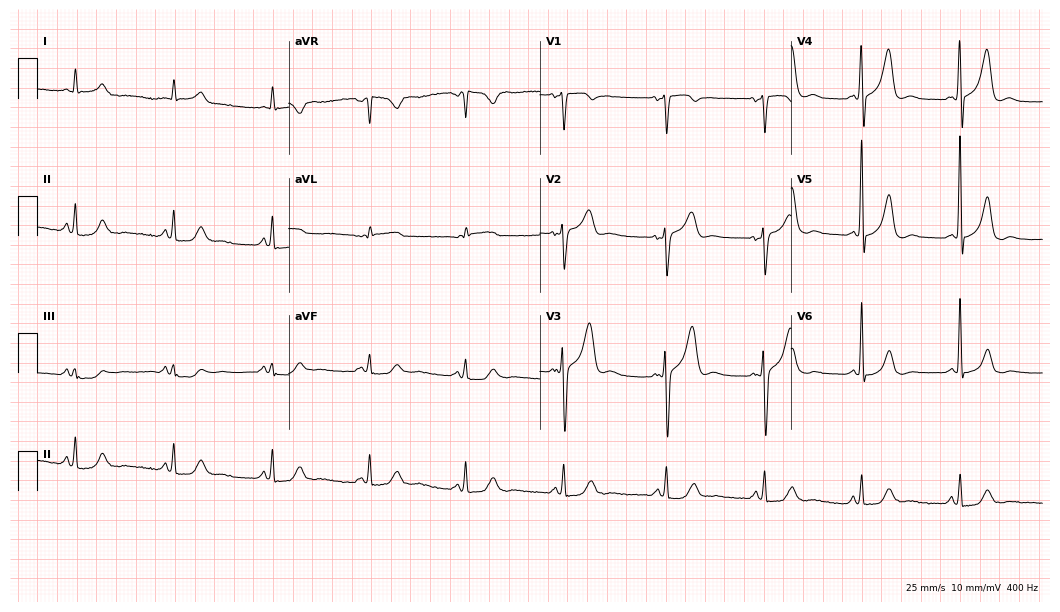
Electrocardiogram (10.2-second recording at 400 Hz), a male, 78 years old. Overall reading on record: normal ECG.